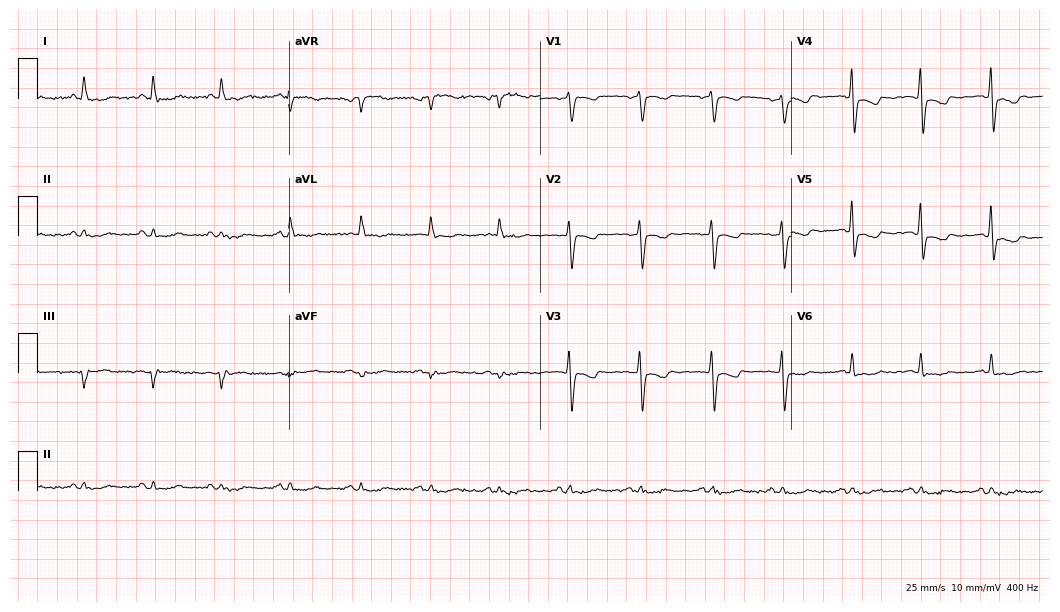
12-lead ECG (10.2-second recording at 400 Hz) from a woman, 46 years old. Screened for six findings — first-degree AV block, right bundle branch block, left bundle branch block, sinus bradycardia, atrial fibrillation, sinus tachycardia — none is recorded.